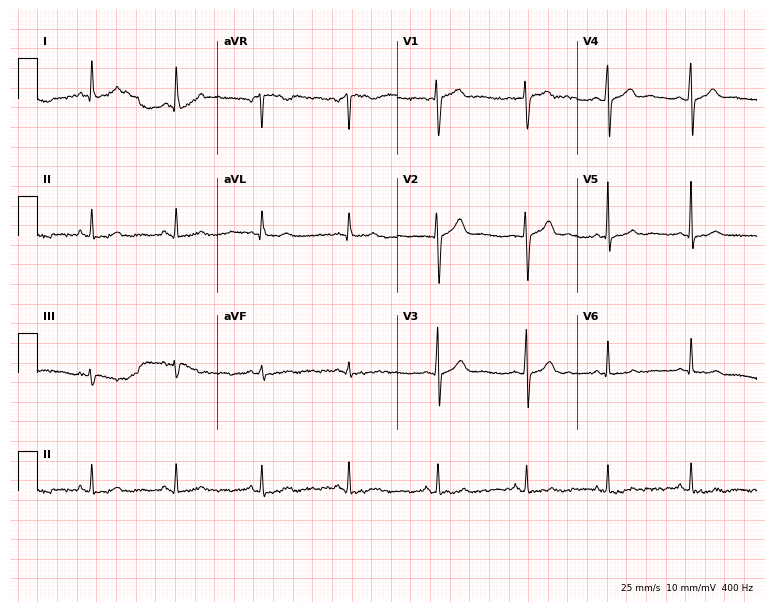
Standard 12-lead ECG recorded from a female, 30 years old (7.3-second recording at 400 Hz). Read as a normal ECG.